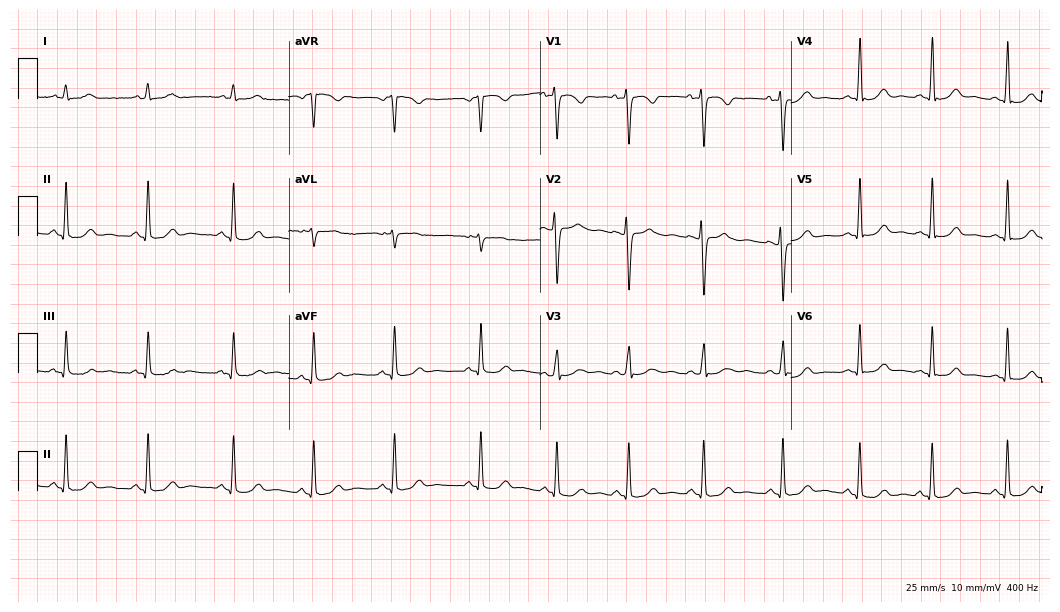
ECG — a 27-year-old woman. Labelled as a normal ECG.